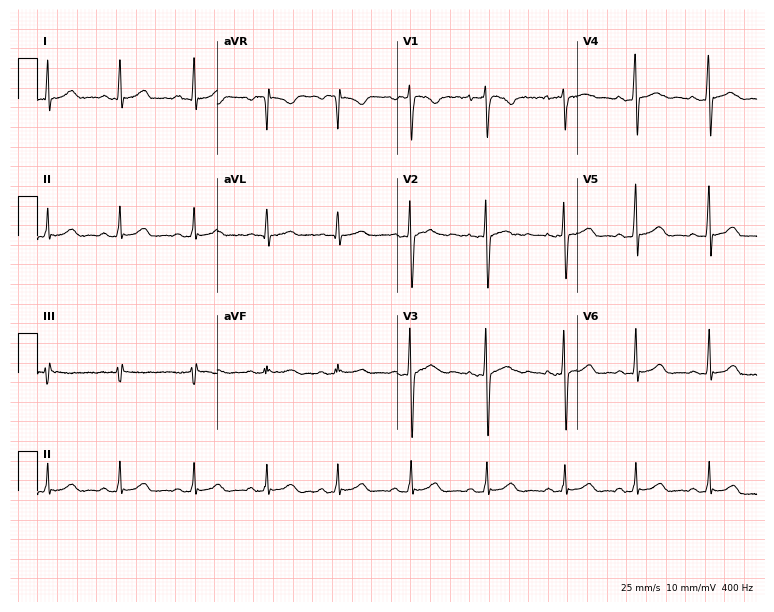
Standard 12-lead ECG recorded from a 32-year-old woman. Read as a normal ECG.